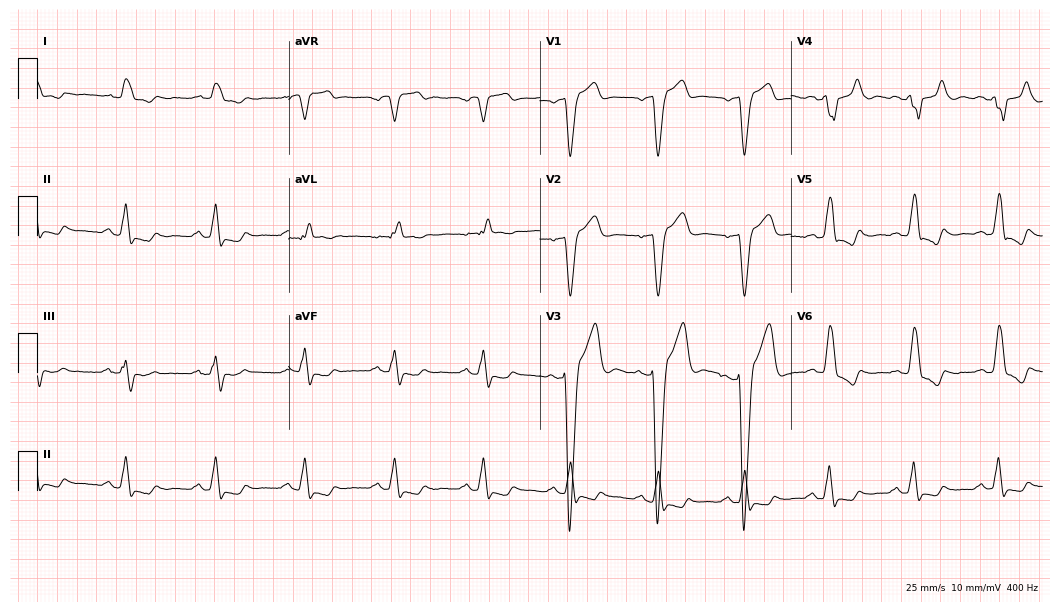
Standard 12-lead ECG recorded from a 57-year-old male patient (10.2-second recording at 400 Hz). The tracing shows left bundle branch block (LBBB).